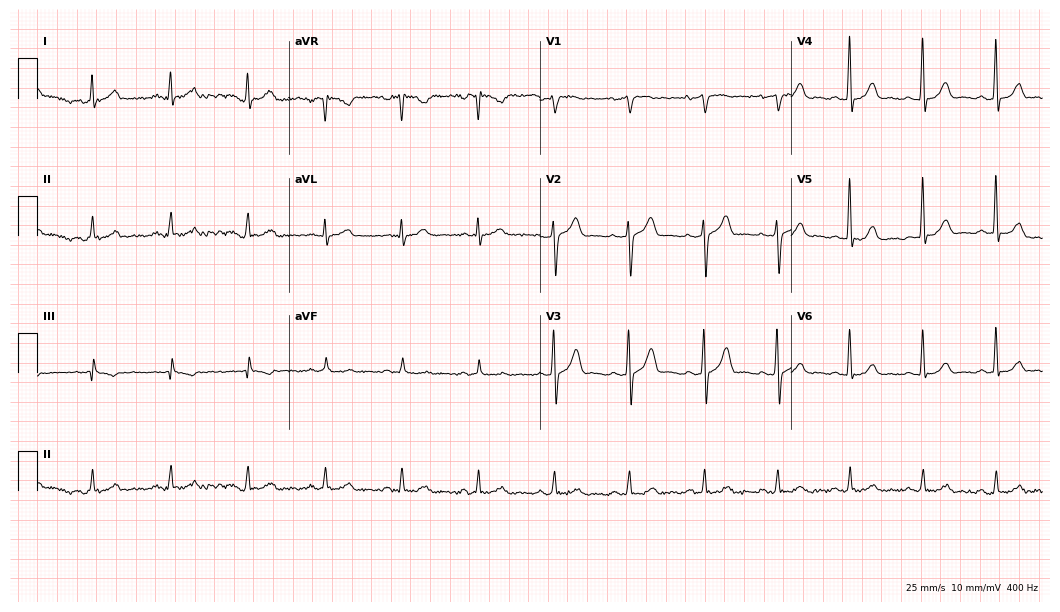
Electrocardiogram, a 56-year-old male patient. Overall reading on record: normal ECG.